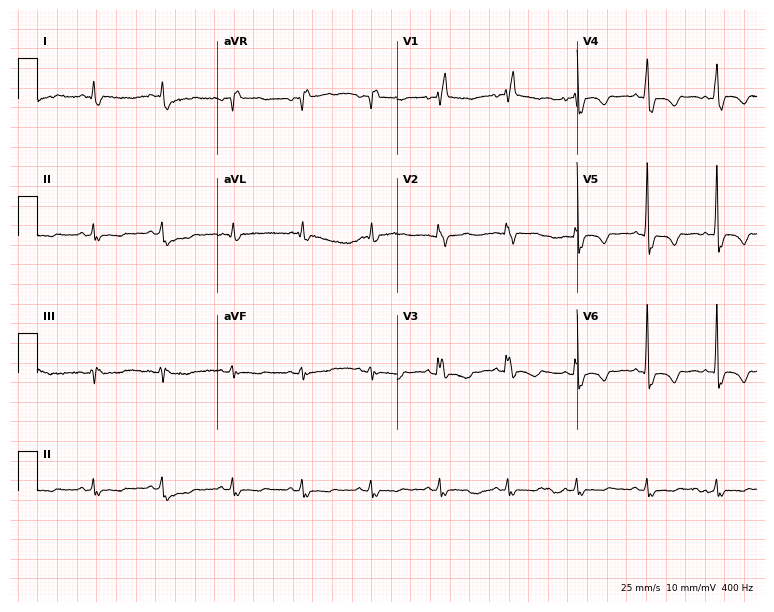
Resting 12-lead electrocardiogram. Patient: a 65-year-old woman. None of these six findings is recorded: first-degree AV block, right bundle branch block, left bundle branch block, sinus bradycardia, atrial fibrillation, sinus tachycardia.